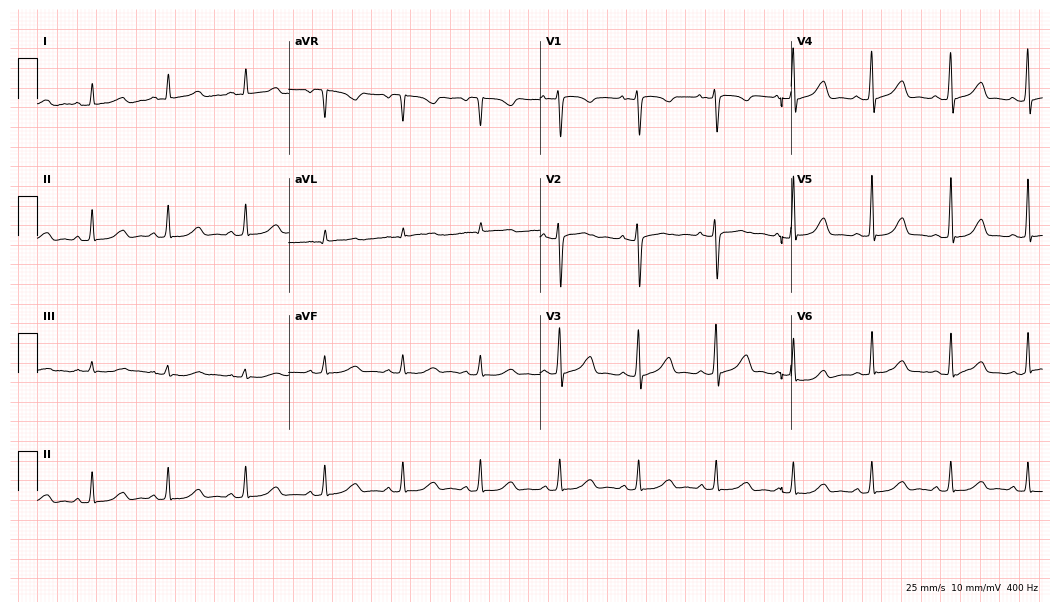
12-lead ECG from a female, 45 years old (10.2-second recording at 400 Hz). Recorded interpretation: within normal limits.